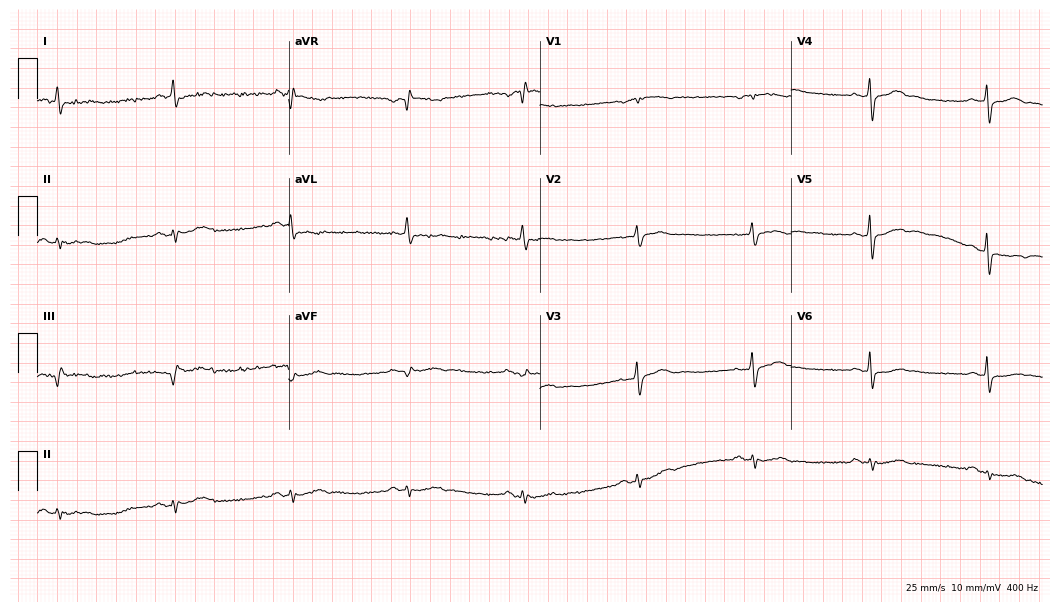
Standard 12-lead ECG recorded from a woman, 75 years old (10.2-second recording at 400 Hz). None of these six findings is recorded: first-degree AV block, right bundle branch block, left bundle branch block, sinus bradycardia, atrial fibrillation, sinus tachycardia. Only these six findings were labelled.